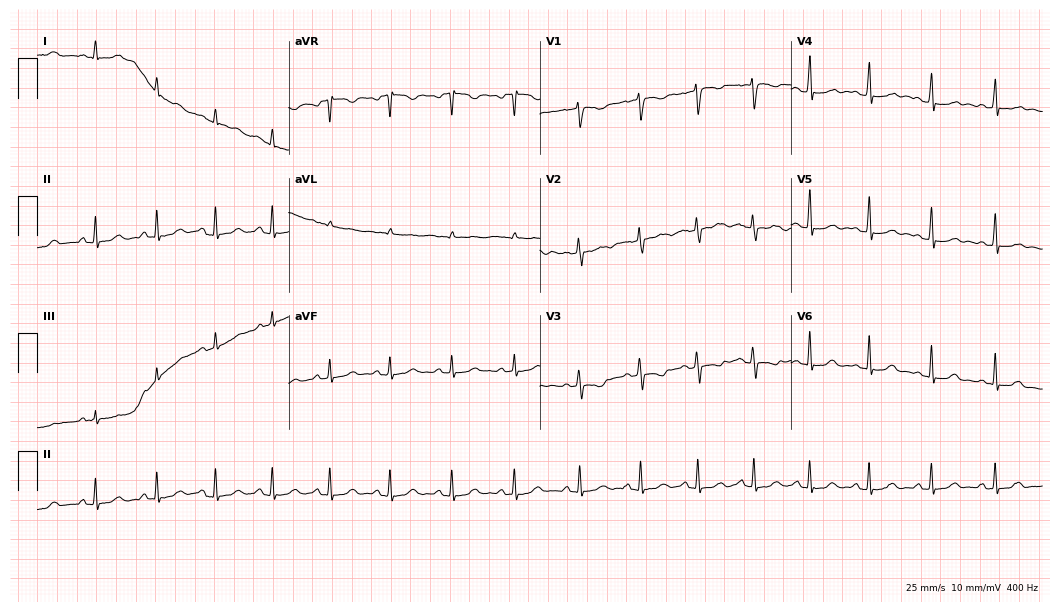
ECG — a 19-year-old woman. Screened for six findings — first-degree AV block, right bundle branch block, left bundle branch block, sinus bradycardia, atrial fibrillation, sinus tachycardia — none is recorded. Only these six findings were labelled.